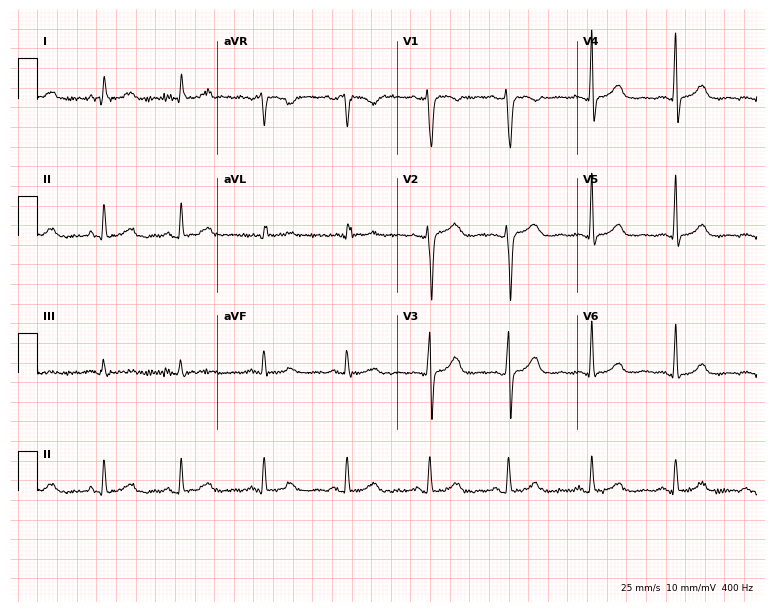
ECG — a 45-year-old female. Labelled as a normal ECG.